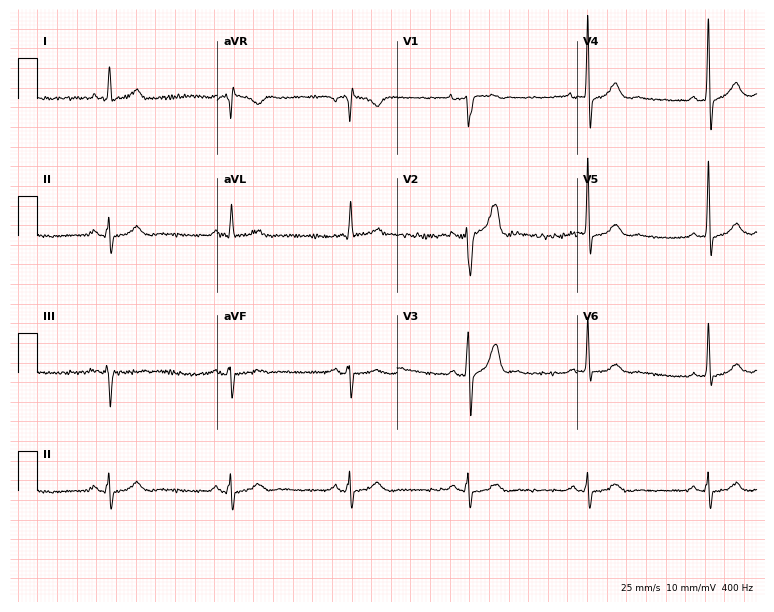
12-lead ECG from a 47-year-old male patient. Shows sinus bradycardia (a sinus rate of 50 beats per minute or less).